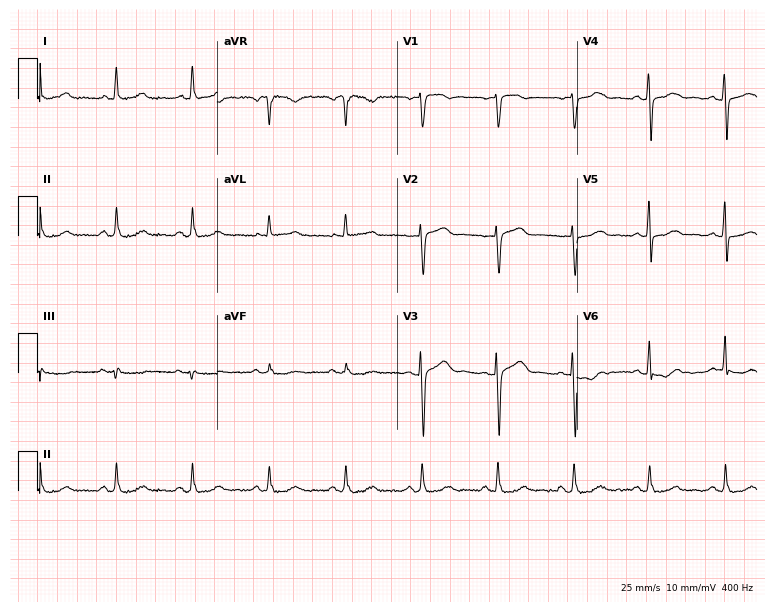
12-lead ECG (7.3-second recording at 400 Hz) from a female patient, 59 years old. Labelled as a normal ECG.